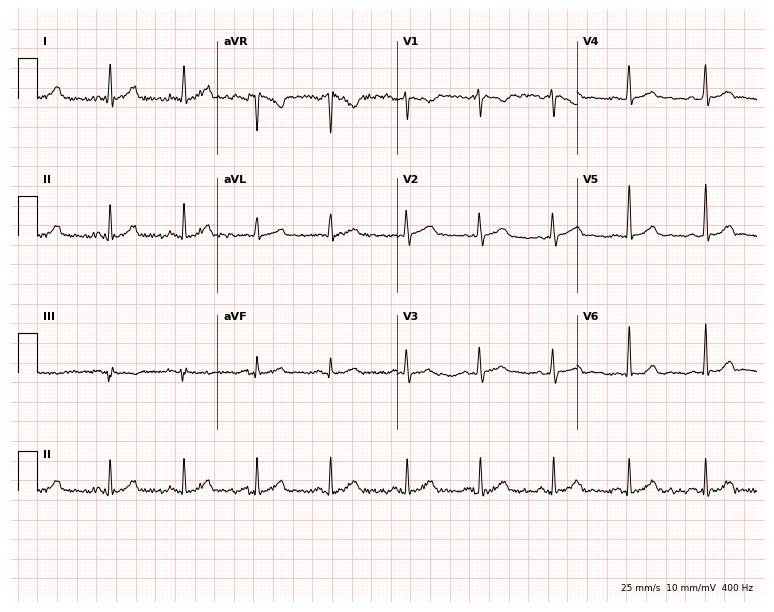
12-lead ECG from a 32-year-old female patient. Labelled as a normal ECG.